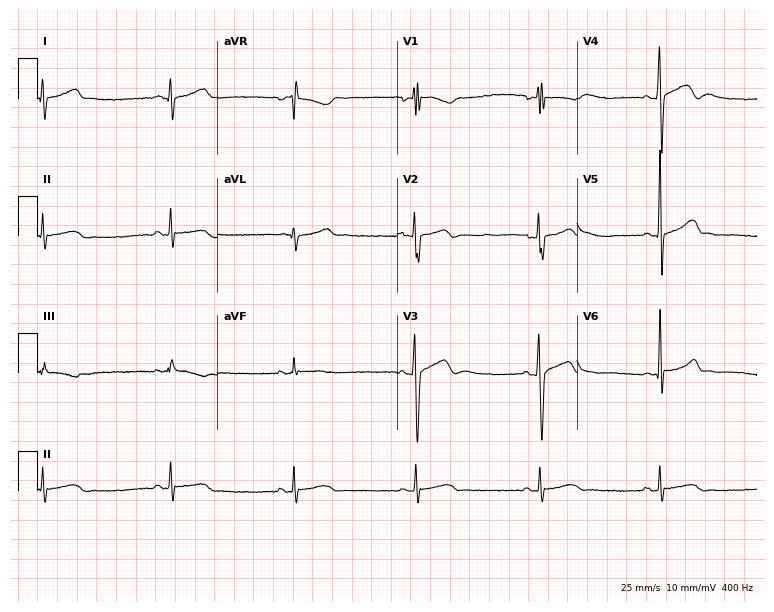
ECG — a 17-year-old male. Findings include sinus bradycardia (a sinus rate of 50 beats per minute or less).